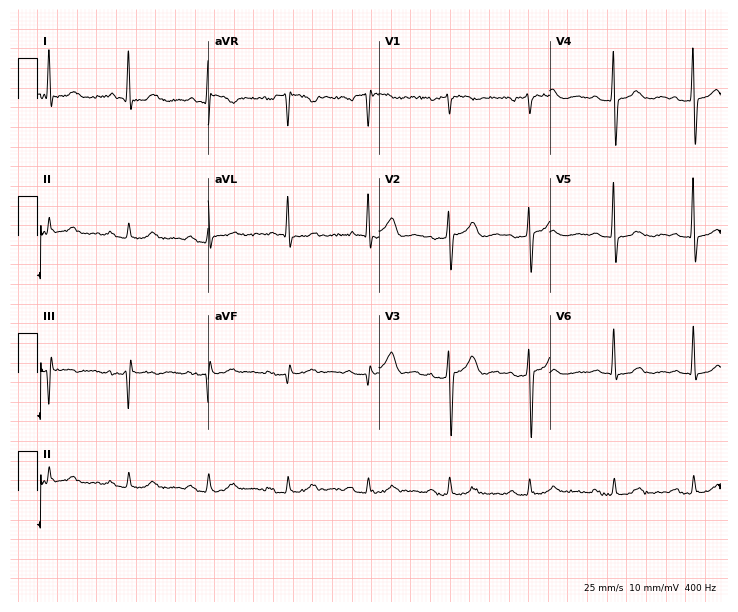
Electrocardiogram (7-second recording at 400 Hz), a man, 75 years old. Of the six screened findings (first-degree AV block, right bundle branch block, left bundle branch block, sinus bradycardia, atrial fibrillation, sinus tachycardia), none is recorded.